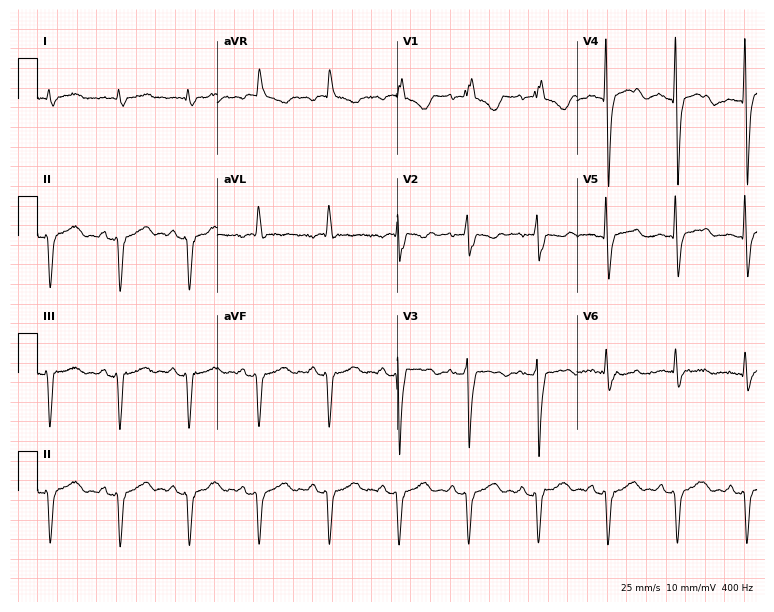
12-lead ECG from an 85-year-old female patient. Screened for six findings — first-degree AV block, right bundle branch block (RBBB), left bundle branch block (LBBB), sinus bradycardia, atrial fibrillation (AF), sinus tachycardia — none is recorded.